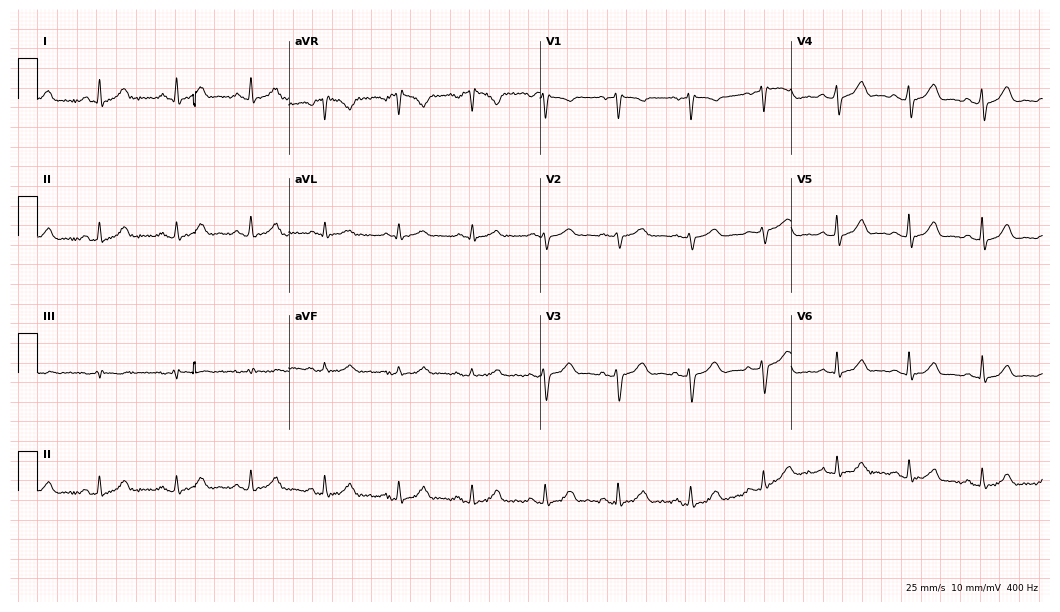
12-lead ECG from a 44-year-old woman (10.2-second recording at 400 Hz). Recorded interpretation: within normal limits.